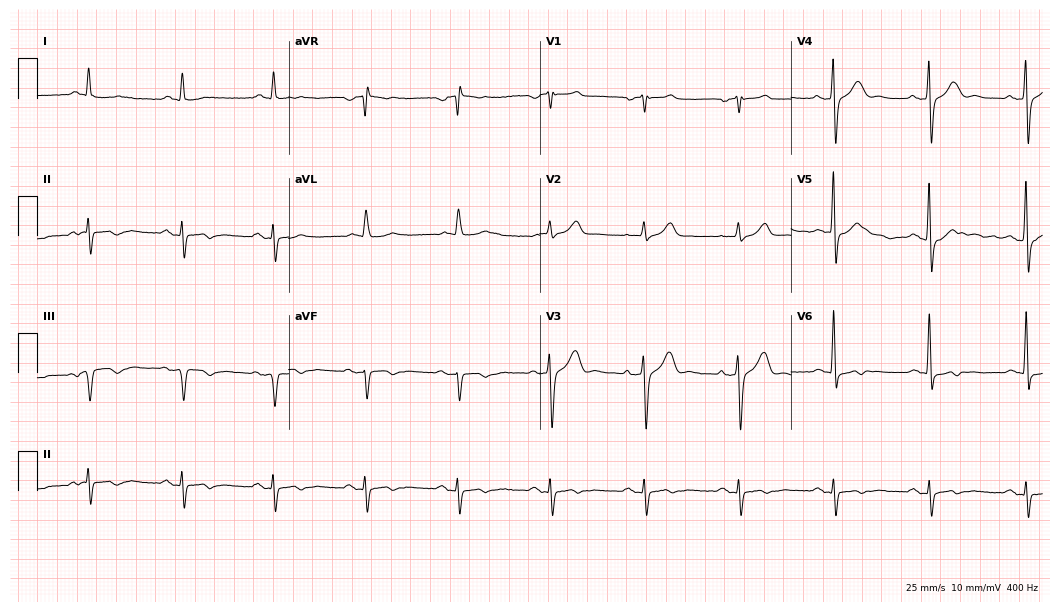
Standard 12-lead ECG recorded from a 76-year-old male (10.2-second recording at 400 Hz). None of these six findings is recorded: first-degree AV block, right bundle branch block, left bundle branch block, sinus bradycardia, atrial fibrillation, sinus tachycardia. Only these six findings were labelled.